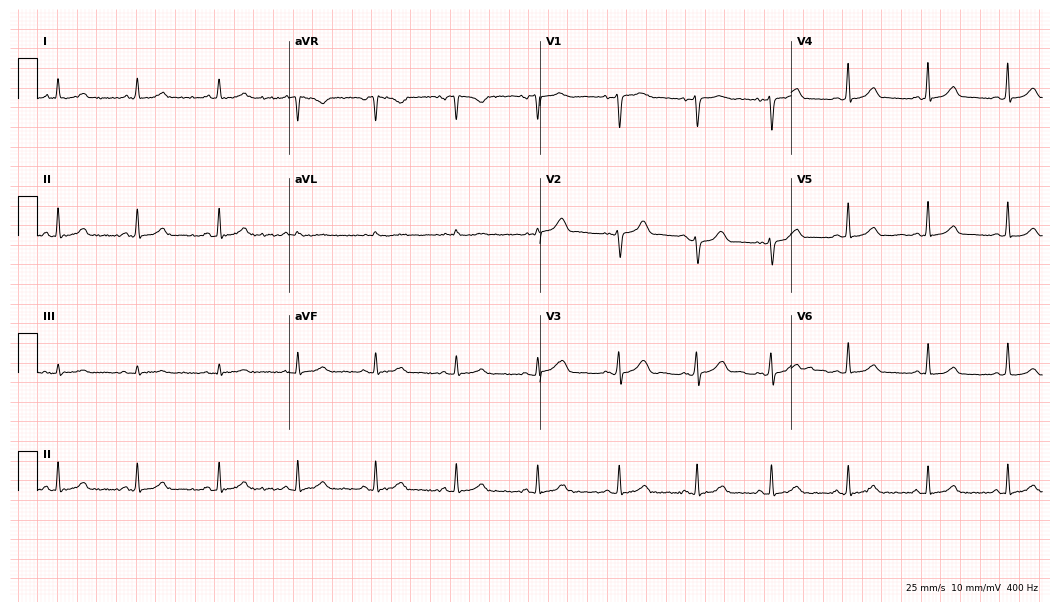
Resting 12-lead electrocardiogram (10.2-second recording at 400 Hz). Patient: a 35-year-old woman. Read as a normal ECG.